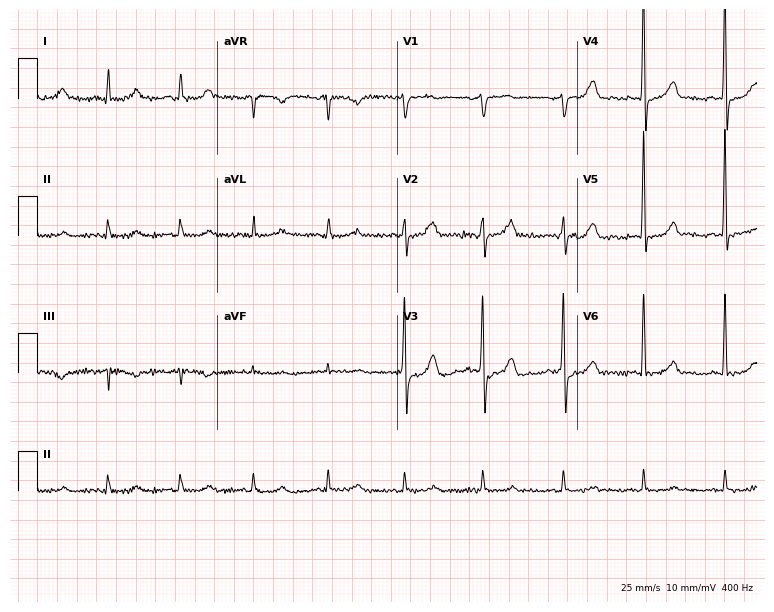
12-lead ECG (7.3-second recording at 400 Hz) from a man, 80 years old. Screened for six findings — first-degree AV block, right bundle branch block, left bundle branch block, sinus bradycardia, atrial fibrillation, sinus tachycardia — none is recorded.